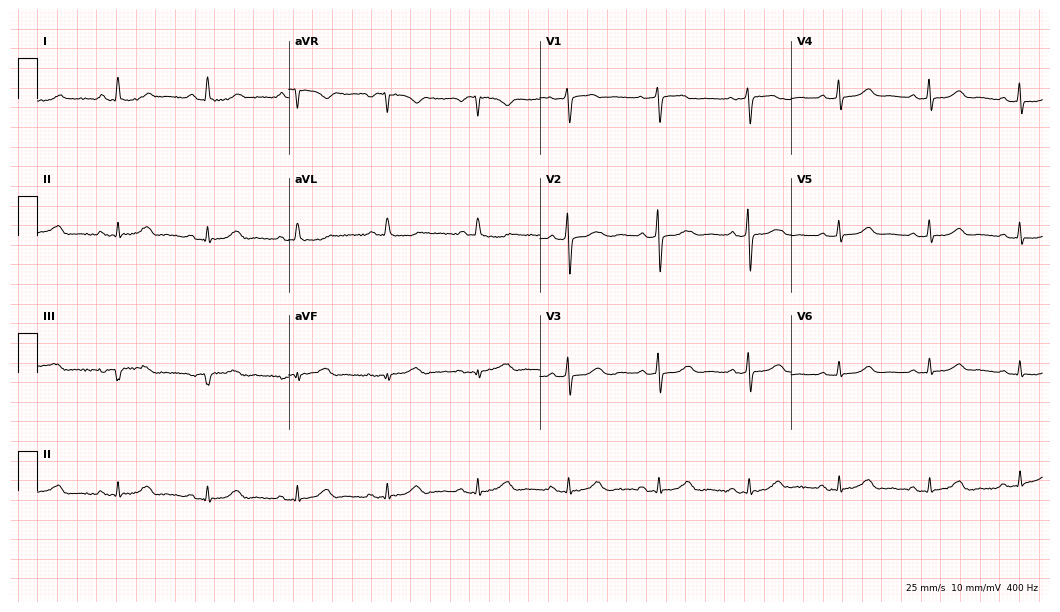
12-lead ECG from a female, 58 years old. Recorded interpretation: within normal limits.